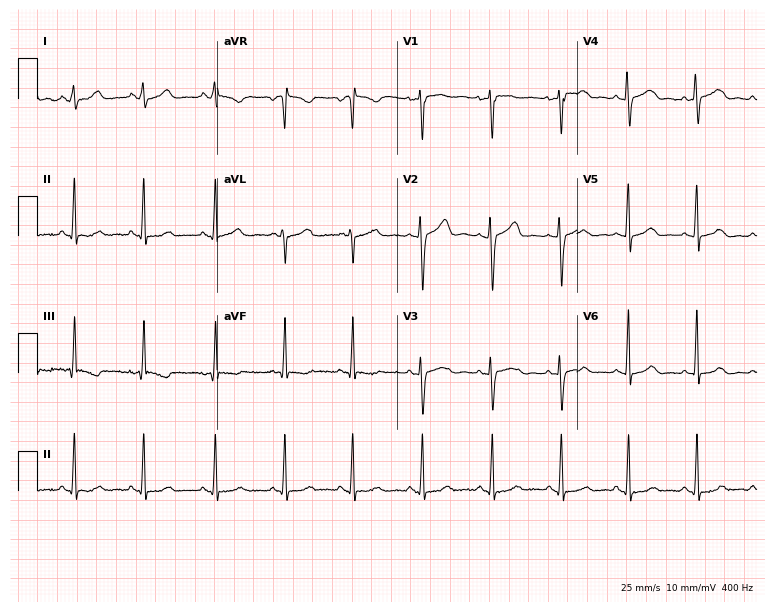
Electrocardiogram, a woman, 26 years old. Overall reading on record: normal ECG.